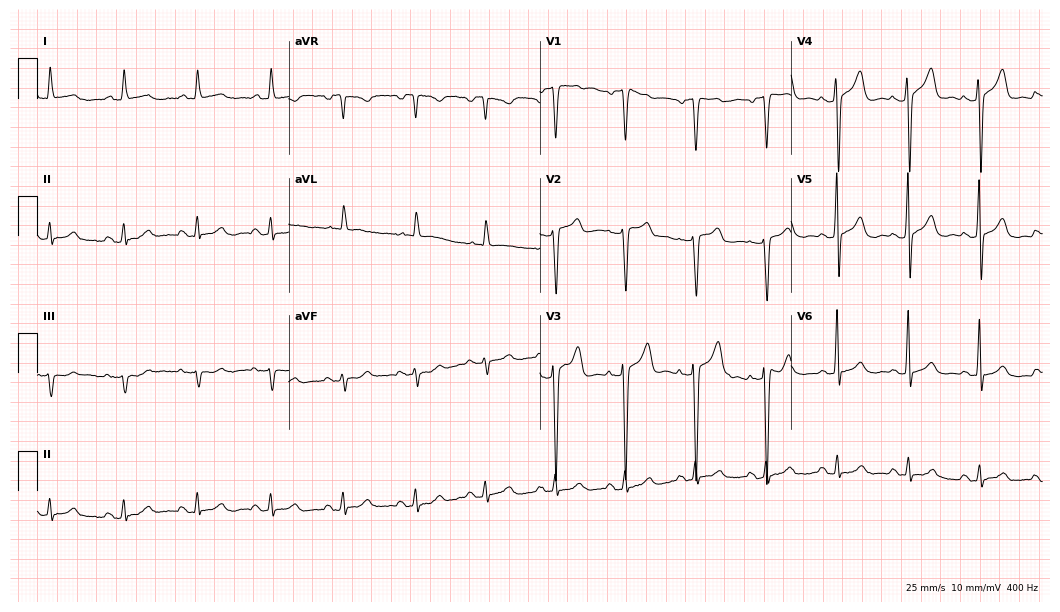
Electrocardiogram (10.2-second recording at 400 Hz), a man, 72 years old. Of the six screened findings (first-degree AV block, right bundle branch block, left bundle branch block, sinus bradycardia, atrial fibrillation, sinus tachycardia), none is recorded.